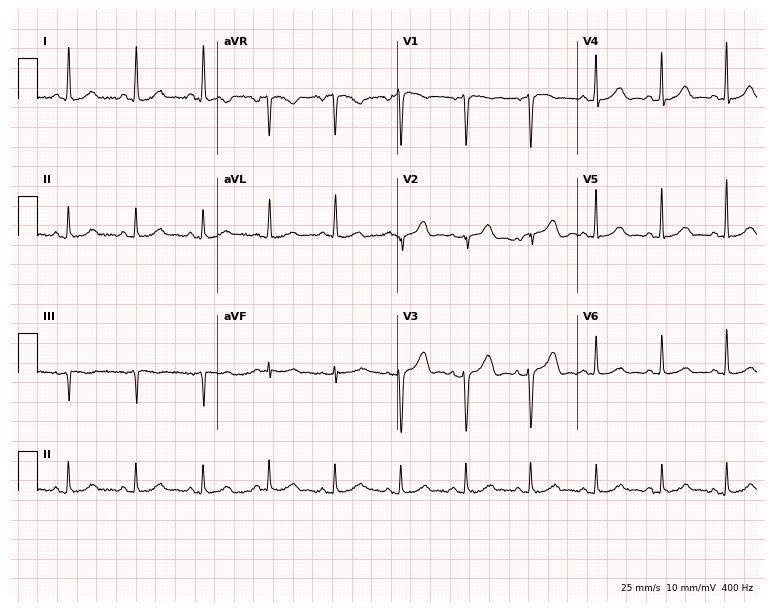
Resting 12-lead electrocardiogram (7.3-second recording at 400 Hz). Patient: a 58-year-old woman. None of these six findings is recorded: first-degree AV block, right bundle branch block, left bundle branch block, sinus bradycardia, atrial fibrillation, sinus tachycardia.